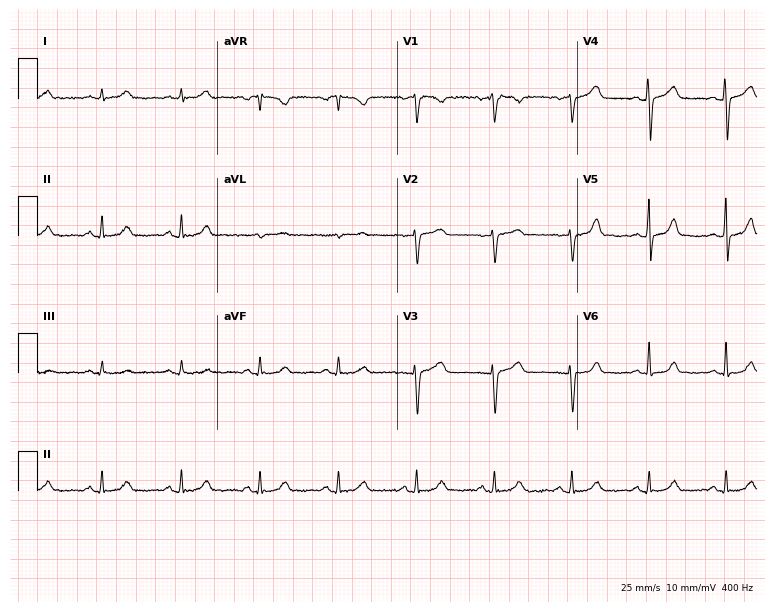
12-lead ECG from a 46-year-old female patient. Labelled as a normal ECG.